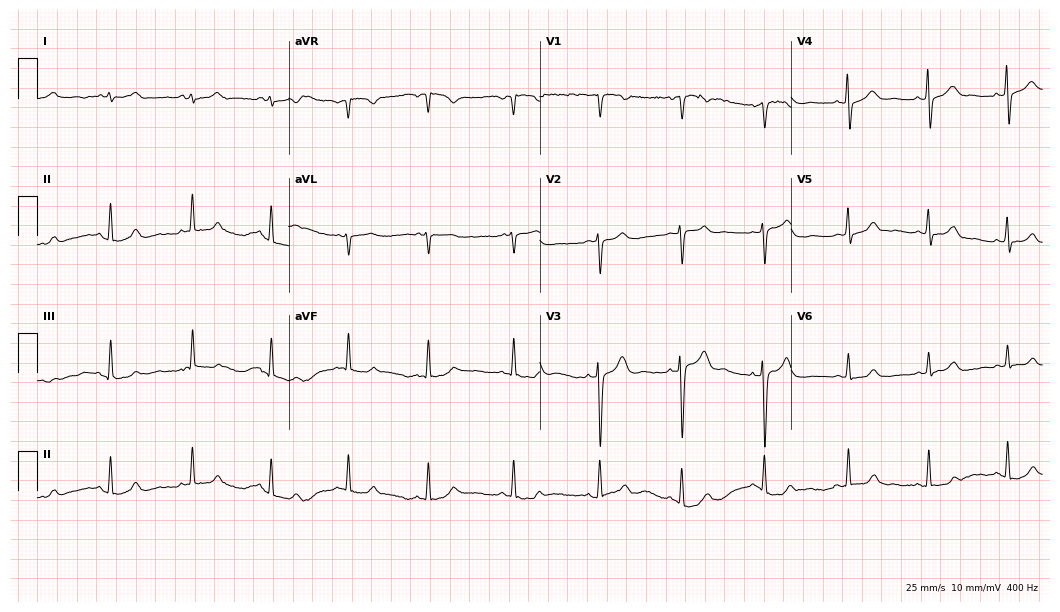
Electrocardiogram, a female patient, 34 years old. Overall reading on record: normal ECG.